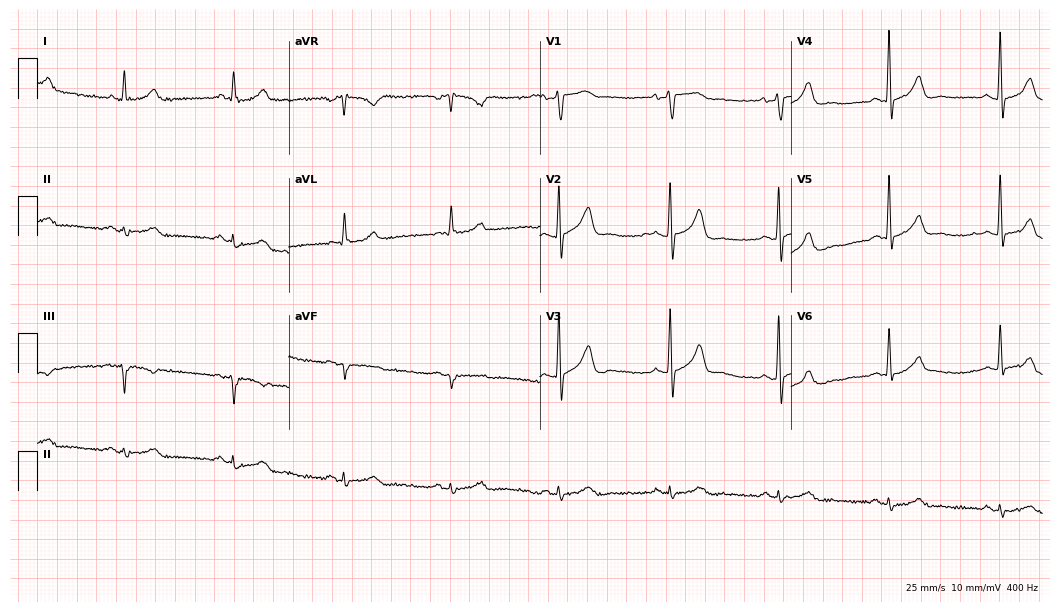
Resting 12-lead electrocardiogram. Patient: a 71-year-old man. Read as a normal ECG.